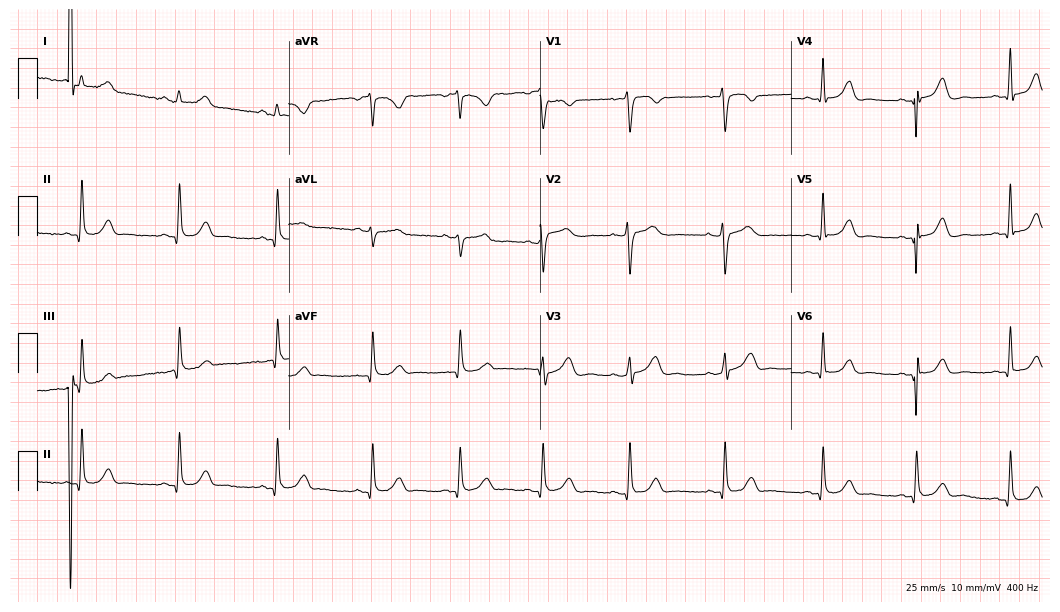
12-lead ECG from a 31-year-old woman (10.2-second recording at 400 Hz). No first-degree AV block, right bundle branch block (RBBB), left bundle branch block (LBBB), sinus bradycardia, atrial fibrillation (AF) or sinus tachycardia recorded for this tracing. Only these six findings were labelled.